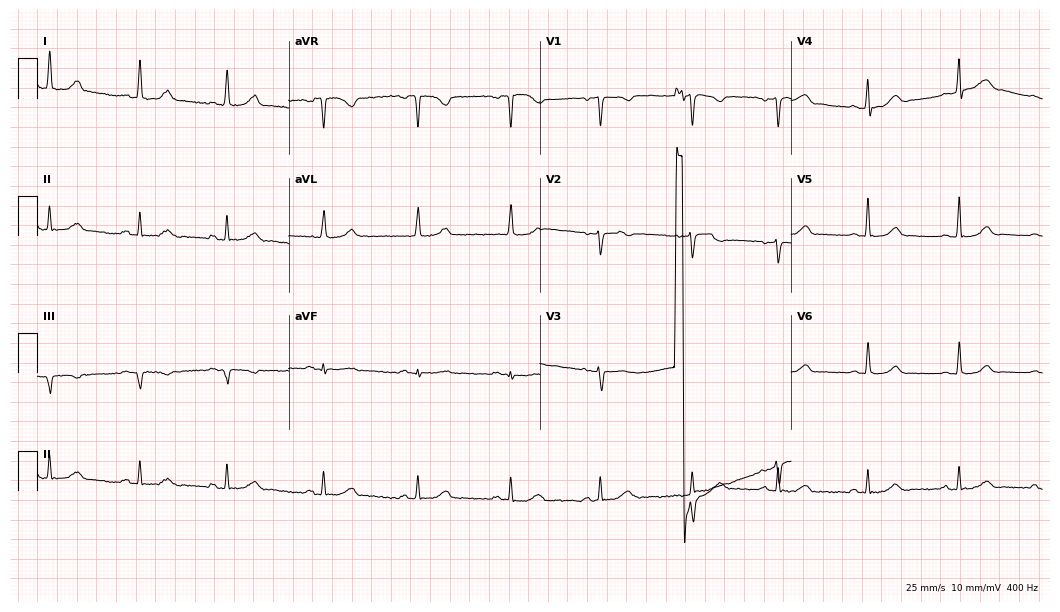
ECG (10.2-second recording at 400 Hz) — a female patient, 46 years old. Labelled as a normal ECG.